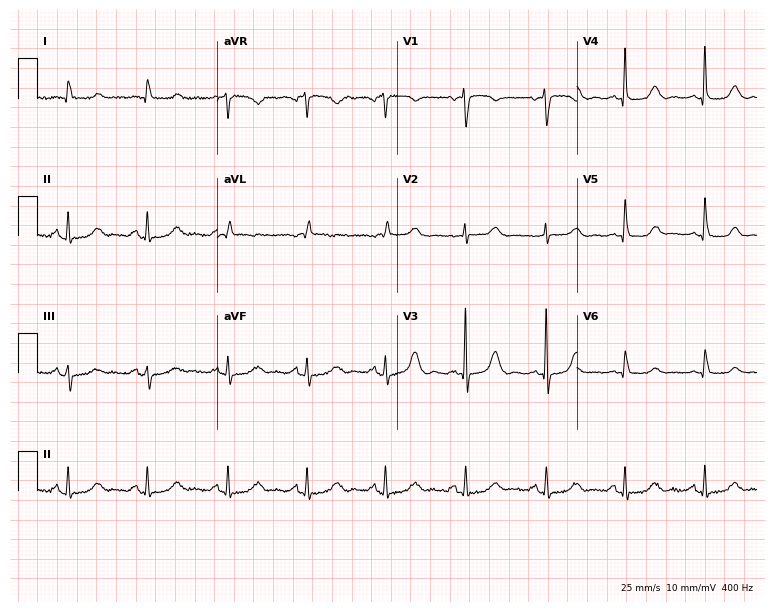
ECG — a female patient, 67 years old. Screened for six findings — first-degree AV block, right bundle branch block, left bundle branch block, sinus bradycardia, atrial fibrillation, sinus tachycardia — none is recorded. Other findings, if any, are not listed.